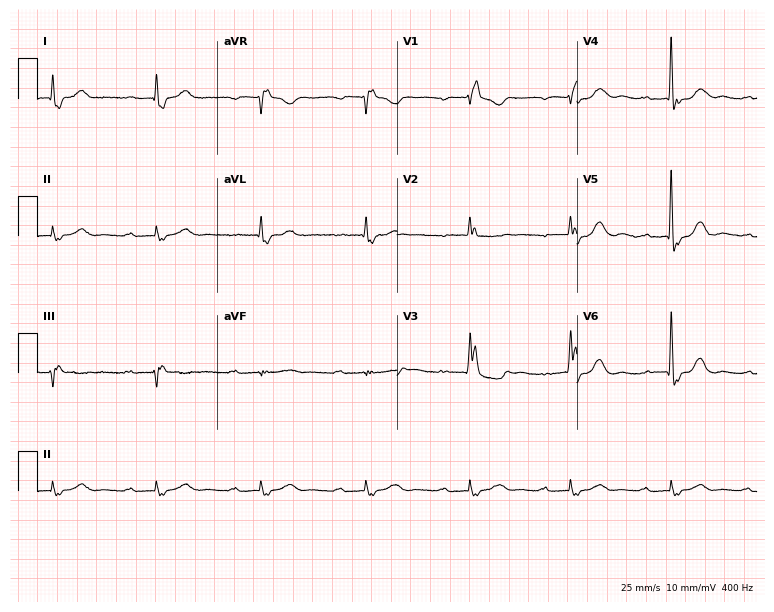
12-lead ECG from an 80-year-old male. Findings include first-degree AV block, right bundle branch block.